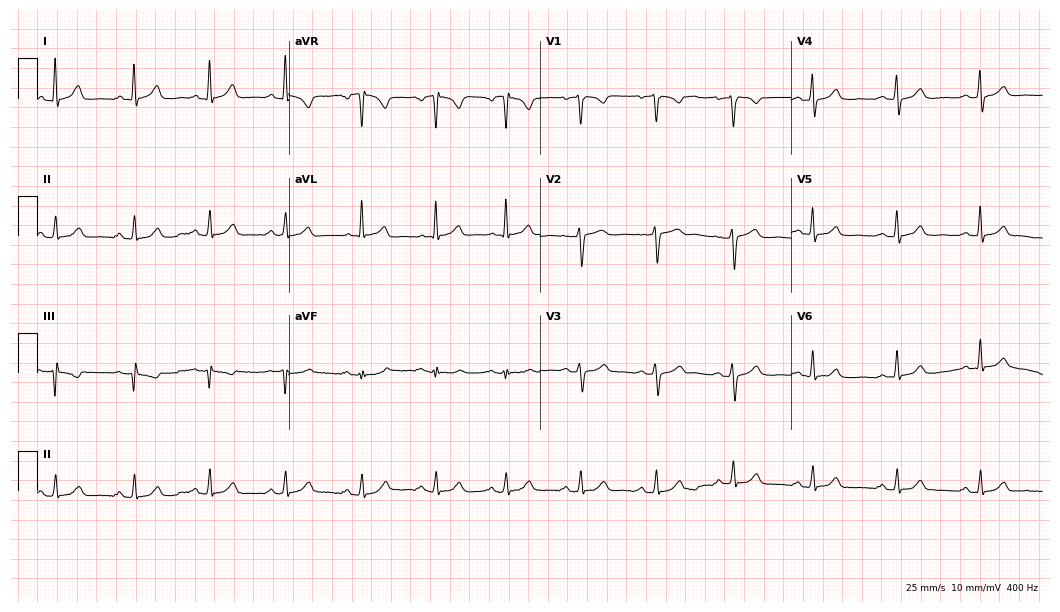
ECG (10.2-second recording at 400 Hz) — a 41-year-old woman. Labelled as a normal ECG.